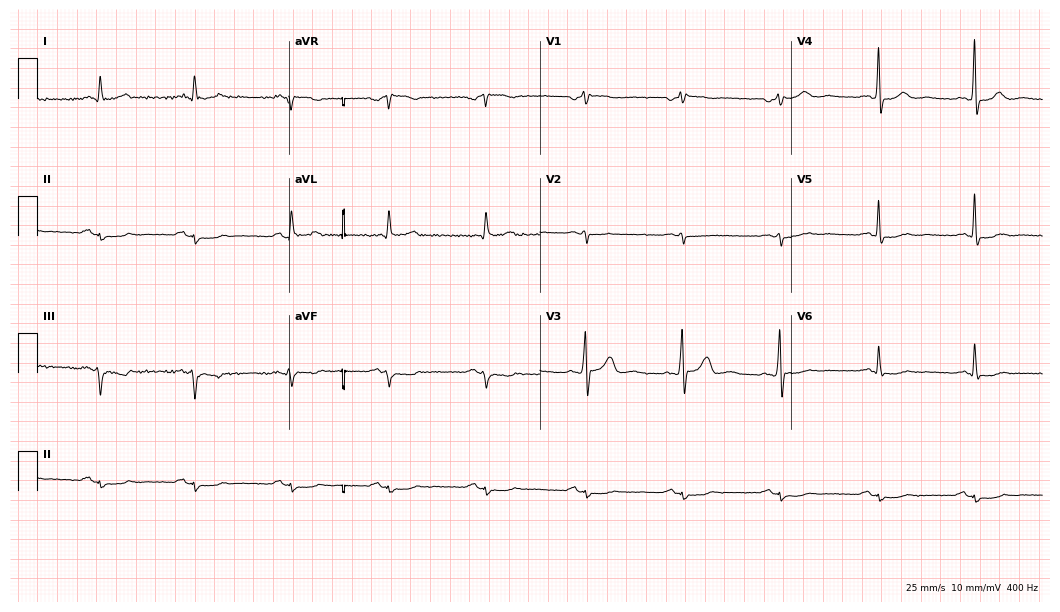
12-lead ECG from a 53-year-old male patient. Labelled as a normal ECG.